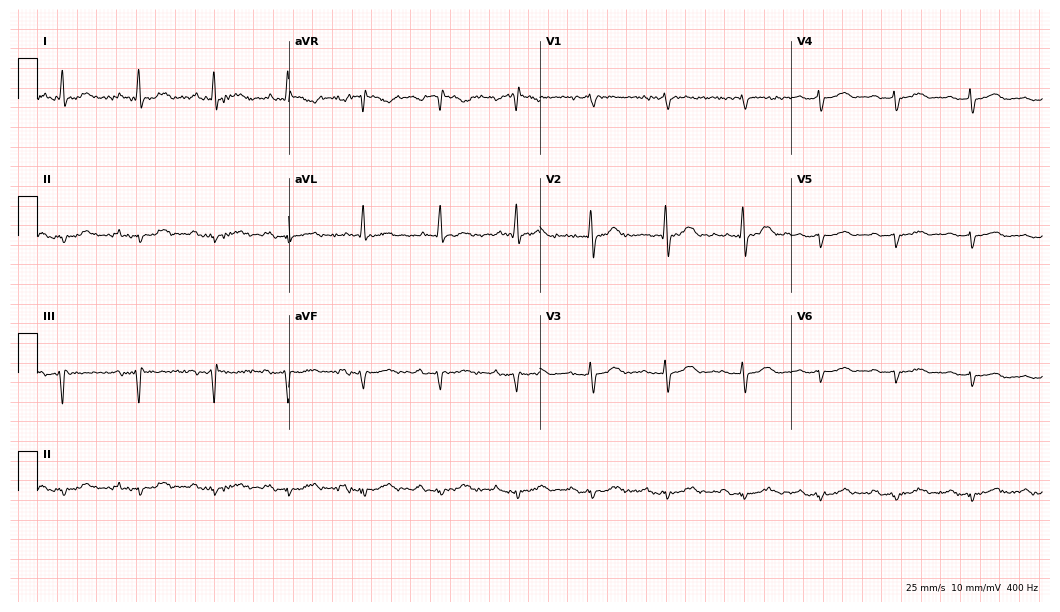
12-lead ECG from an 82-year-old female patient (10.2-second recording at 400 Hz). No first-degree AV block, right bundle branch block, left bundle branch block, sinus bradycardia, atrial fibrillation or sinus tachycardia recorded for this tracing.